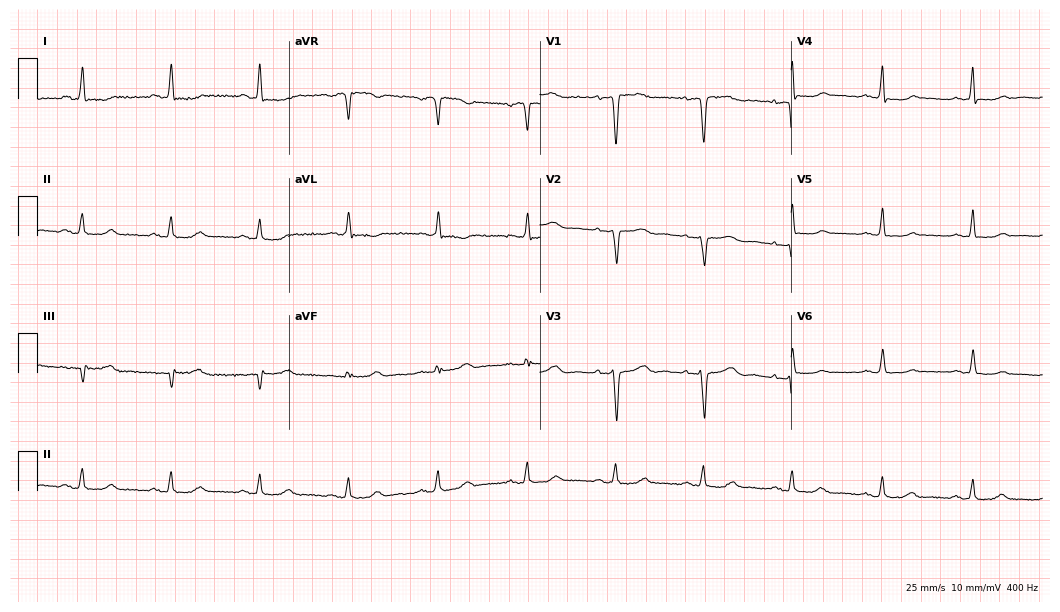
Electrocardiogram, a woman, 61 years old. Of the six screened findings (first-degree AV block, right bundle branch block (RBBB), left bundle branch block (LBBB), sinus bradycardia, atrial fibrillation (AF), sinus tachycardia), none is recorded.